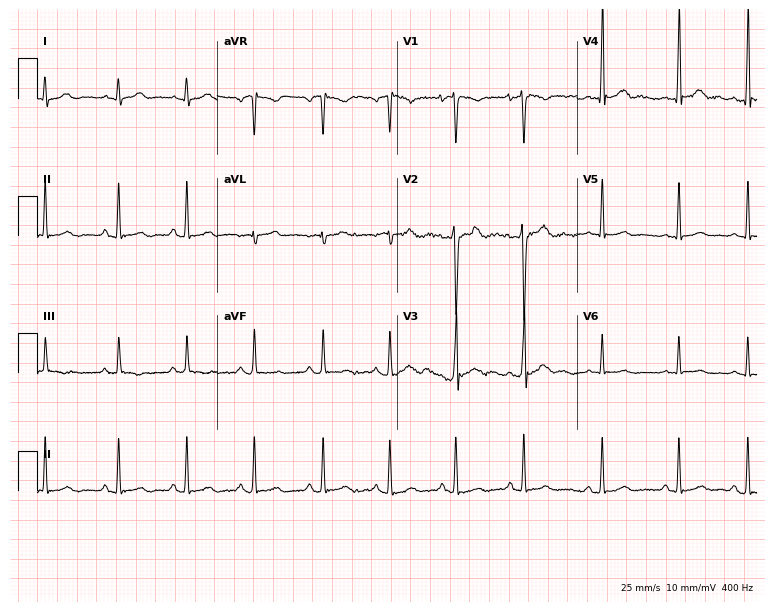
Electrocardiogram, a male, 25 years old. Of the six screened findings (first-degree AV block, right bundle branch block, left bundle branch block, sinus bradycardia, atrial fibrillation, sinus tachycardia), none is recorded. Other findings, if any, are not listed.